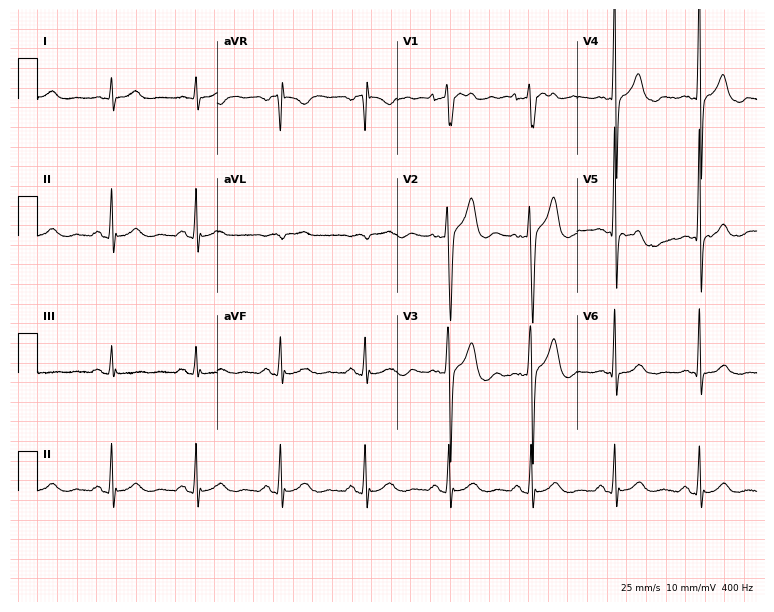
Standard 12-lead ECG recorded from a 31-year-old male patient (7.3-second recording at 400 Hz). Read as a normal ECG.